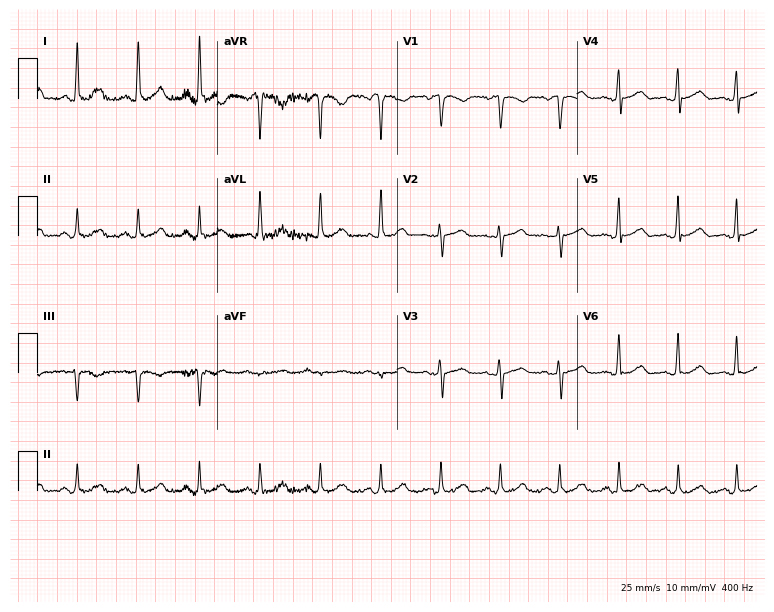
ECG (7.3-second recording at 400 Hz) — a 31-year-old female. Labelled as a normal ECG.